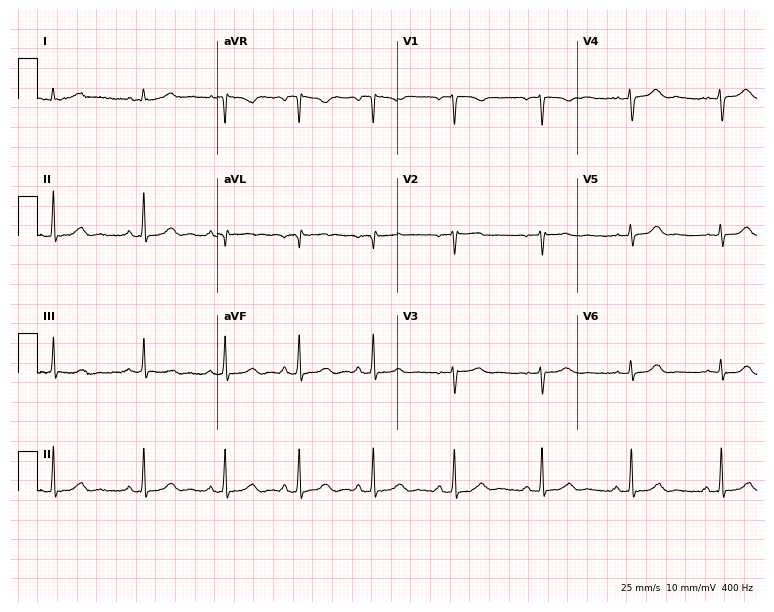
ECG — a 24-year-old female. Screened for six findings — first-degree AV block, right bundle branch block (RBBB), left bundle branch block (LBBB), sinus bradycardia, atrial fibrillation (AF), sinus tachycardia — none is recorded.